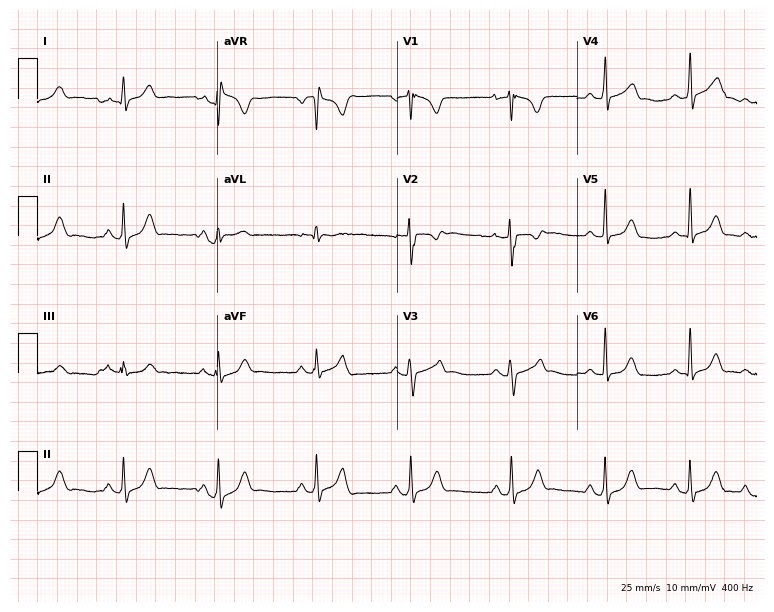
ECG (7.3-second recording at 400 Hz) — an 18-year-old female patient. Screened for six findings — first-degree AV block, right bundle branch block, left bundle branch block, sinus bradycardia, atrial fibrillation, sinus tachycardia — none is recorded. Findings outside these six are not listed.